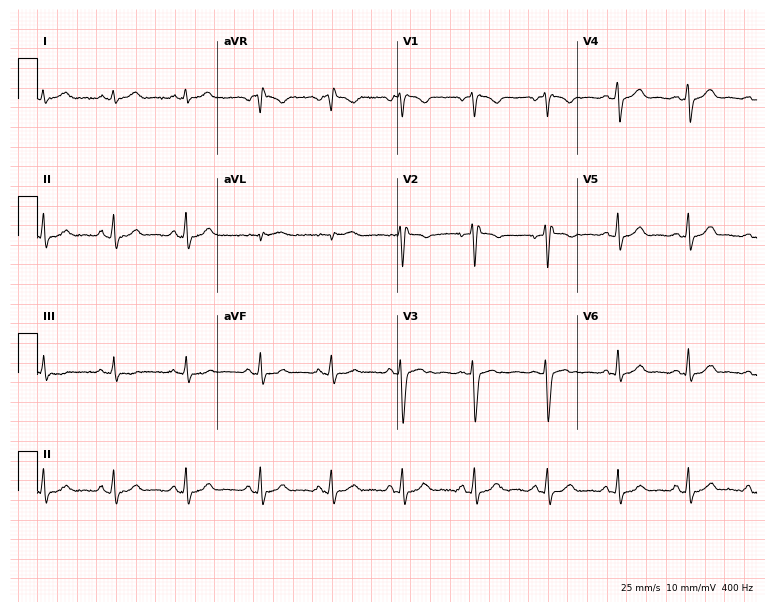
12-lead ECG from a female patient, 39 years old. Labelled as a normal ECG.